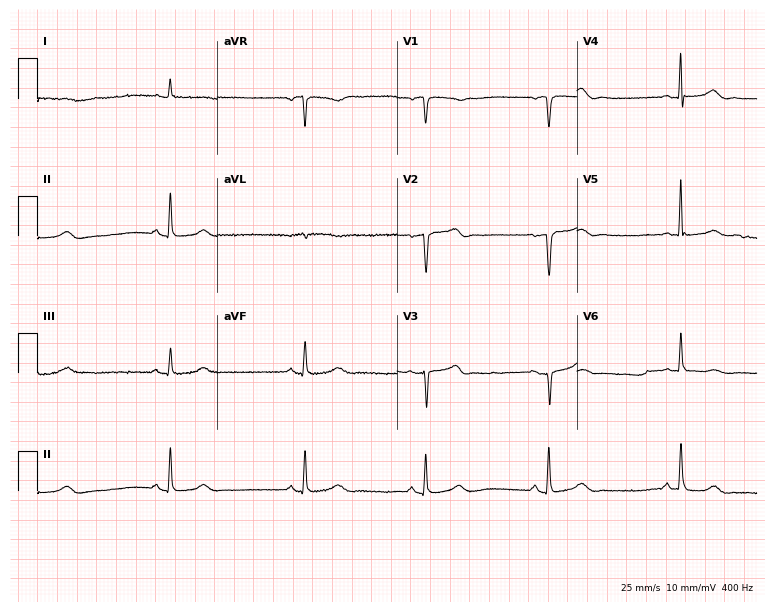
12-lead ECG from a female patient, 80 years old. Findings include sinus bradycardia (a sinus rate of 50 beats per minute or less).